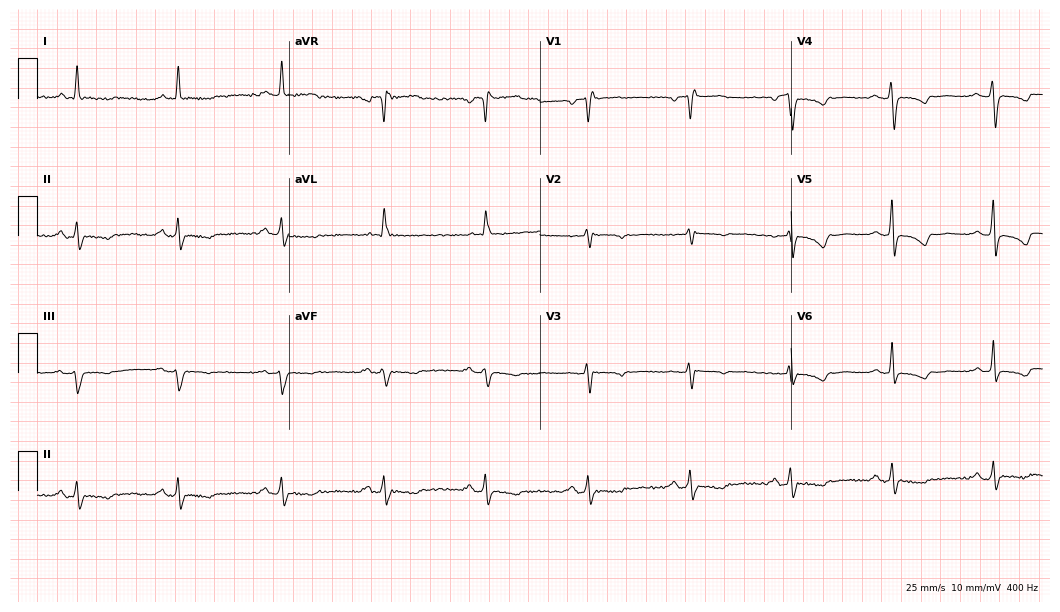
Electrocardiogram, a 68-year-old woman. Of the six screened findings (first-degree AV block, right bundle branch block, left bundle branch block, sinus bradycardia, atrial fibrillation, sinus tachycardia), none is recorded. Findings outside these six are not listed.